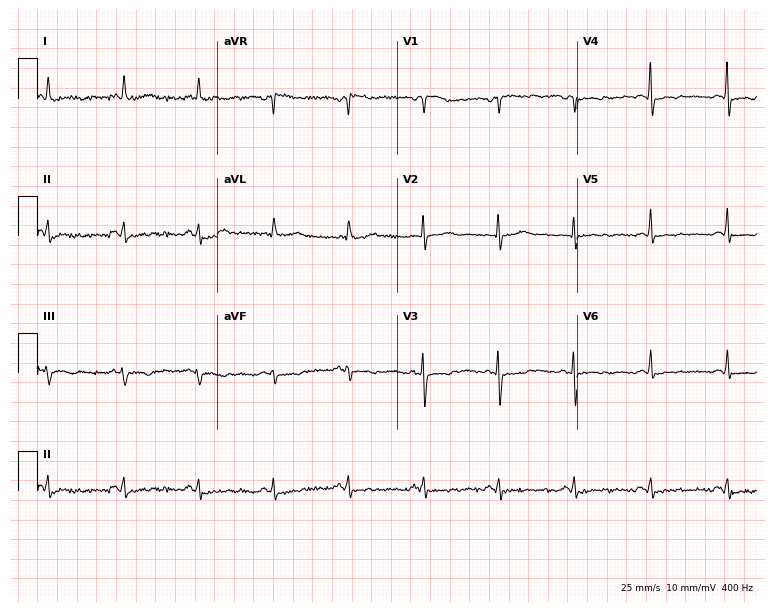
Electrocardiogram, a woman, 84 years old. Overall reading on record: normal ECG.